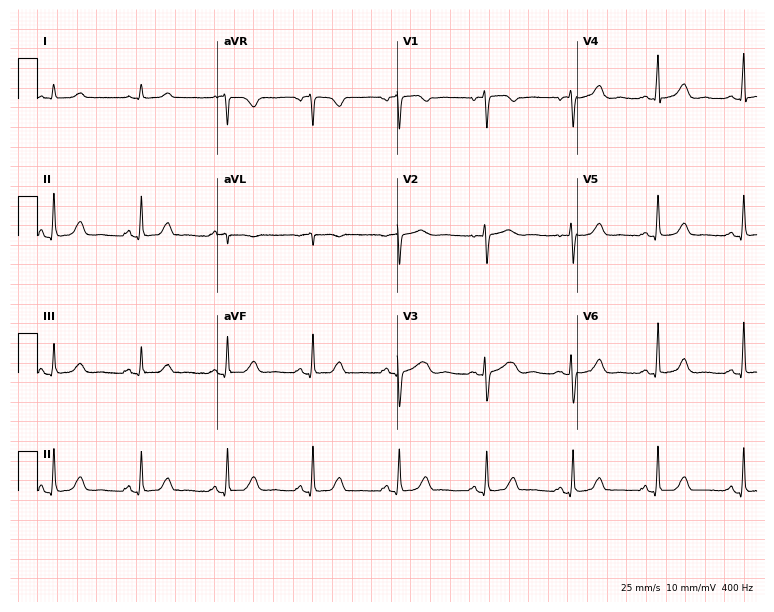
Standard 12-lead ECG recorded from a 55-year-old female. Read as a normal ECG.